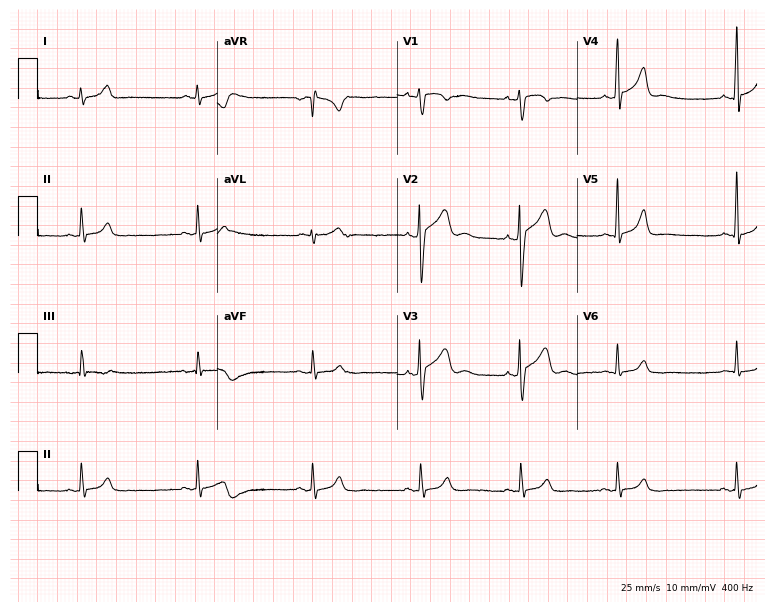
ECG (7.3-second recording at 400 Hz) — a 21-year-old man. Labelled as a normal ECG.